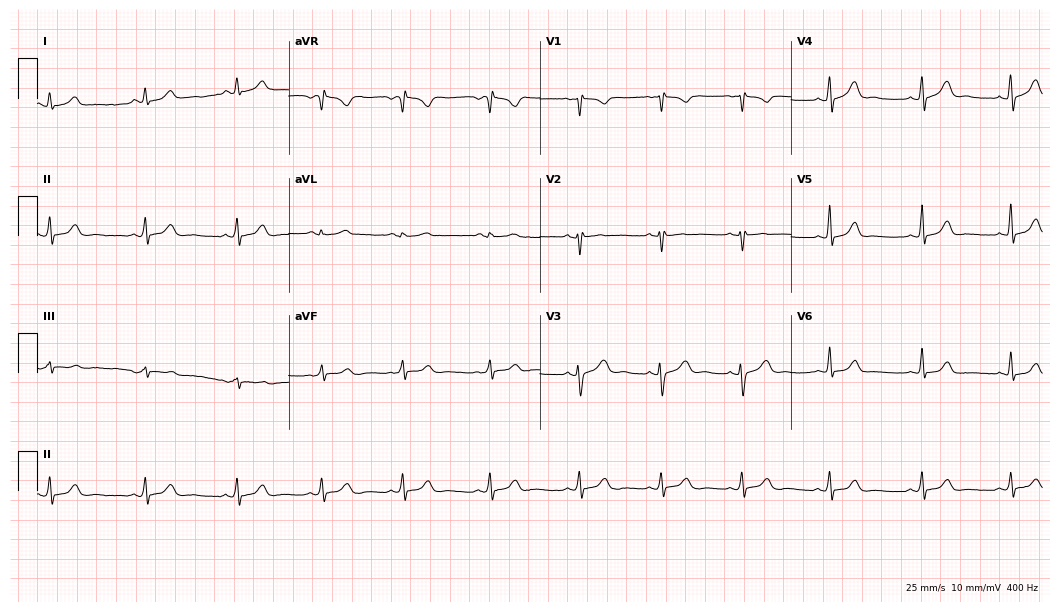
12-lead ECG (10.2-second recording at 400 Hz) from a 24-year-old female. Screened for six findings — first-degree AV block, right bundle branch block (RBBB), left bundle branch block (LBBB), sinus bradycardia, atrial fibrillation (AF), sinus tachycardia — none is recorded.